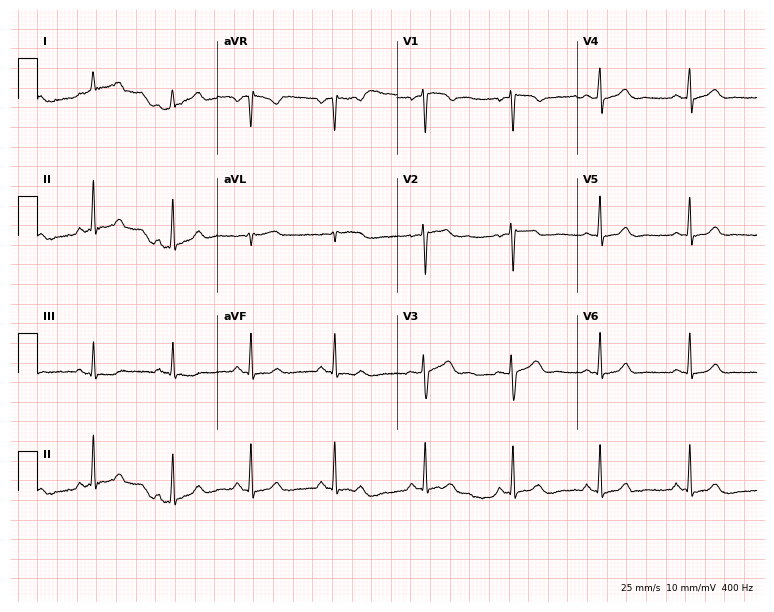
Standard 12-lead ECG recorded from a female, 32 years old. Read as a normal ECG.